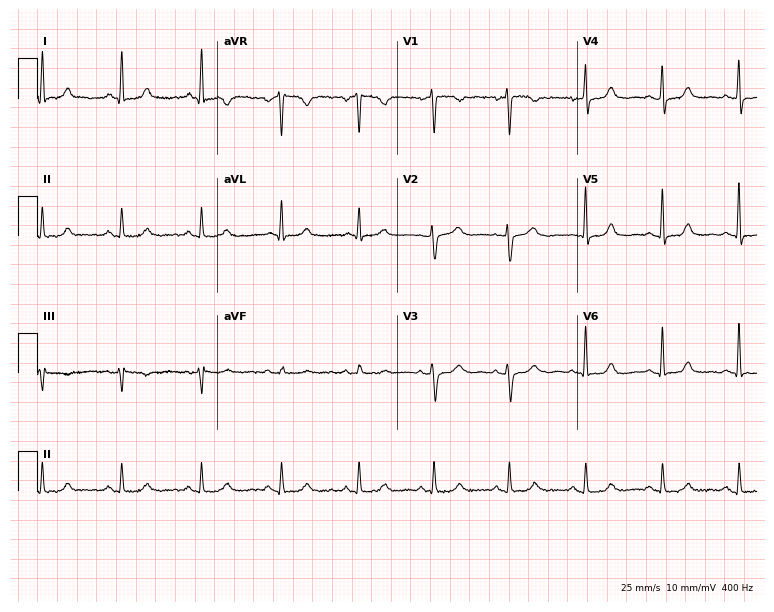
Resting 12-lead electrocardiogram (7.3-second recording at 400 Hz). Patient: a 59-year-old female. Read as a normal ECG.